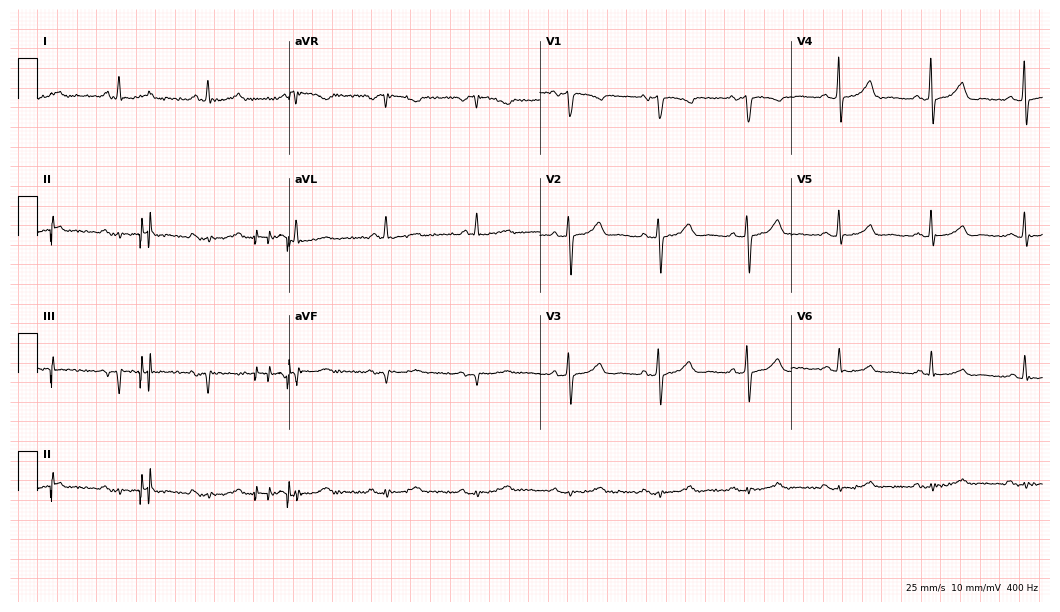
12-lead ECG from a 66-year-old female patient (10.2-second recording at 400 Hz). Recorded interpretation: within normal limits.